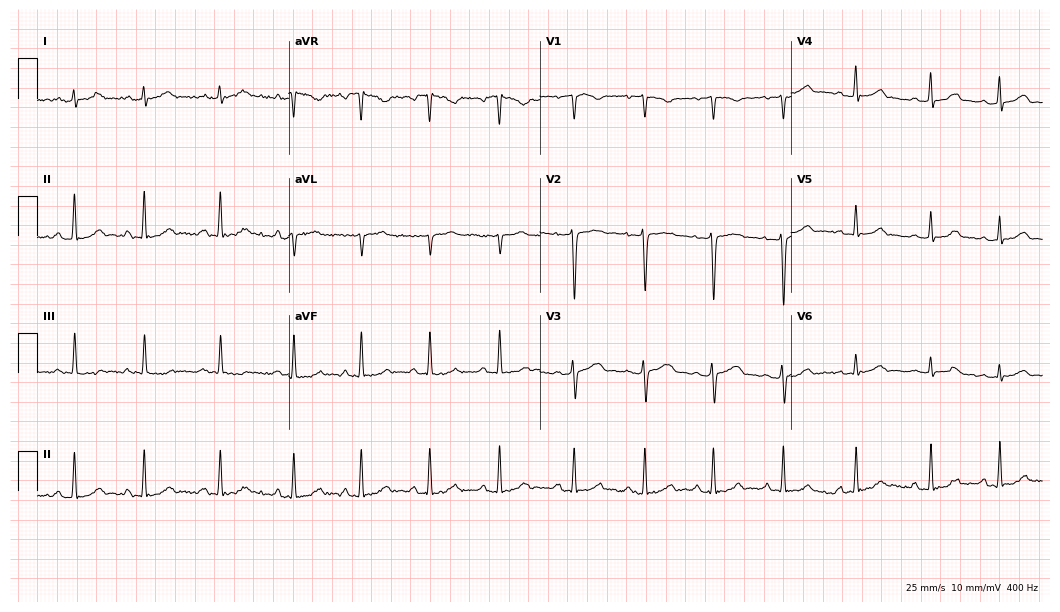
12-lead ECG (10.2-second recording at 400 Hz) from an 18-year-old female. Screened for six findings — first-degree AV block, right bundle branch block, left bundle branch block, sinus bradycardia, atrial fibrillation, sinus tachycardia — none is recorded. Findings outside these six are not listed.